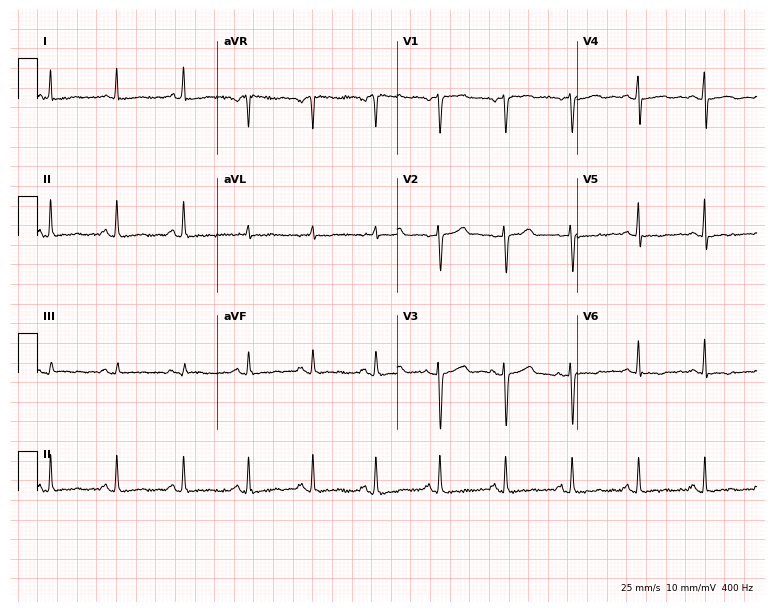
12-lead ECG (7.3-second recording at 400 Hz) from a female patient, 48 years old. Labelled as a normal ECG.